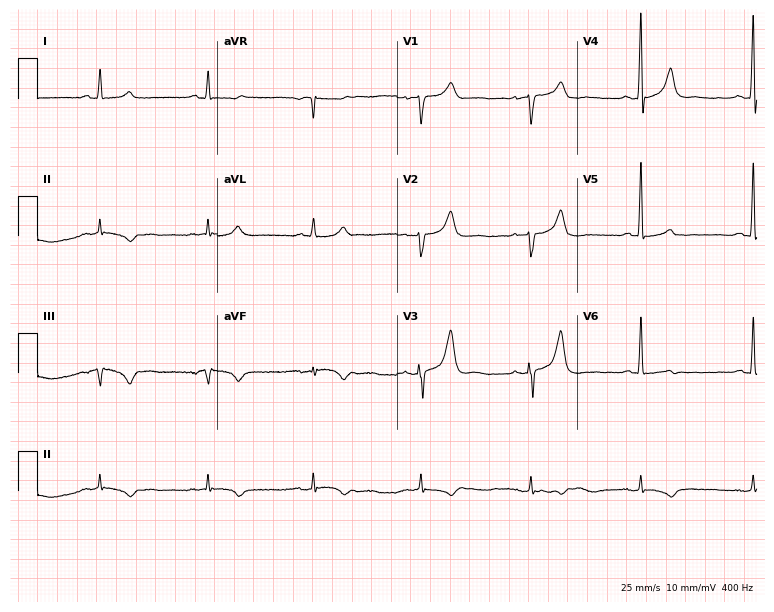
Resting 12-lead electrocardiogram (7.3-second recording at 400 Hz). Patient: a male, 63 years old. None of these six findings is recorded: first-degree AV block, right bundle branch block, left bundle branch block, sinus bradycardia, atrial fibrillation, sinus tachycardia.